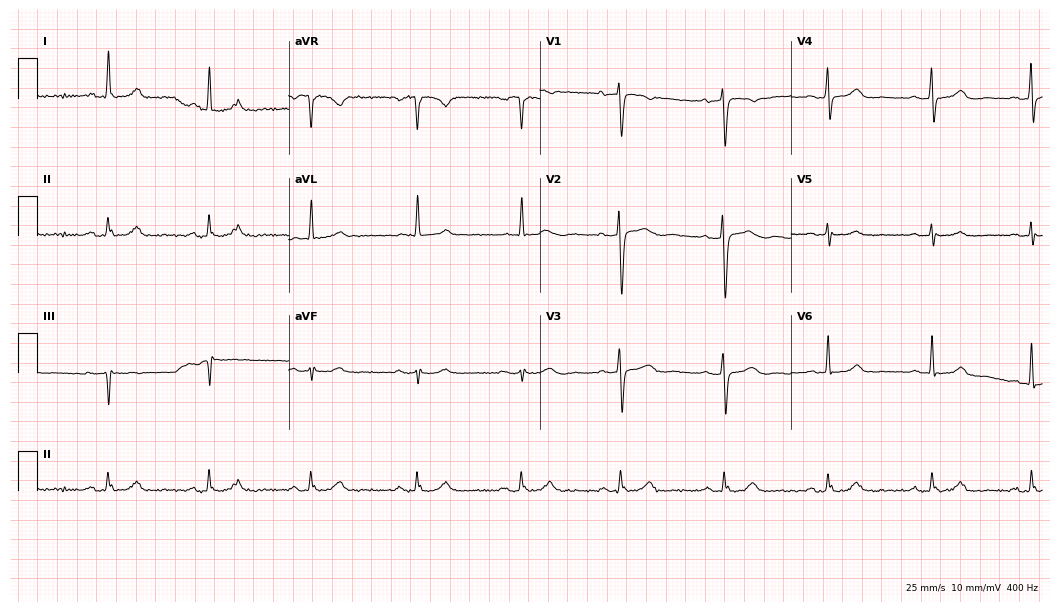
Standard 12-lead ECG recorded from a female, 74 years old (10.2-second recording at 400 Hz). Read as a normal ECG.